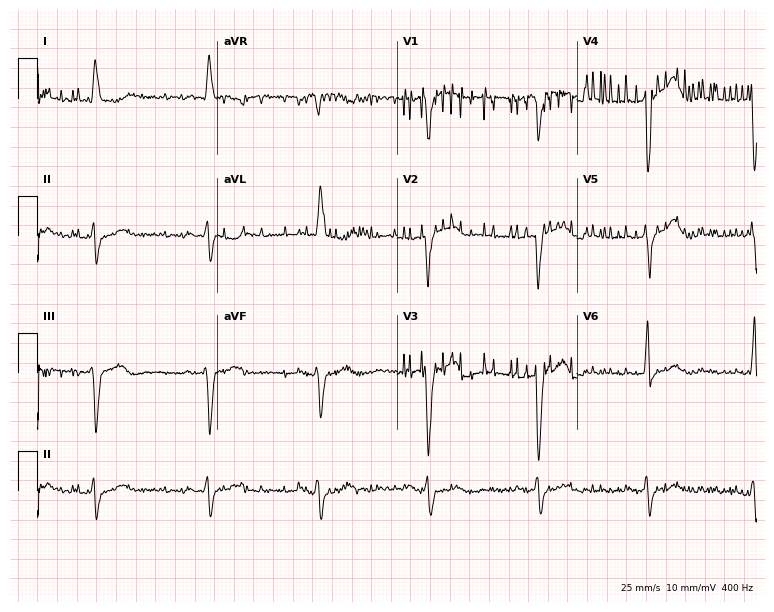
Resting 12-lead electrocardiogram. Patient: an 82-year-old woman. None of these six findings is recorded: first-degree AV block, right bundle branch block (RBBB), left bundle branch block (LBBB), sinus bradycardia, atrial fibrillation (AF), sinus tachycardia.